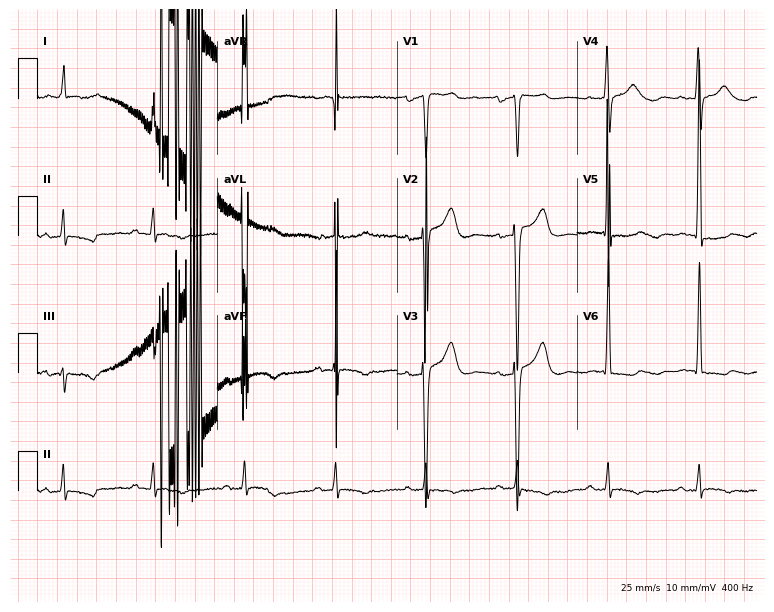
12-lead ECG from a 76-year-old man (7.3-second recording at 400 Hz). No first-degree AV block, right bundle branch block, left bundle branch block, sinus bradycardia, atrial fibrillation or sinus tachycardia recorded for this tracing. Findings outside these six are not listed.